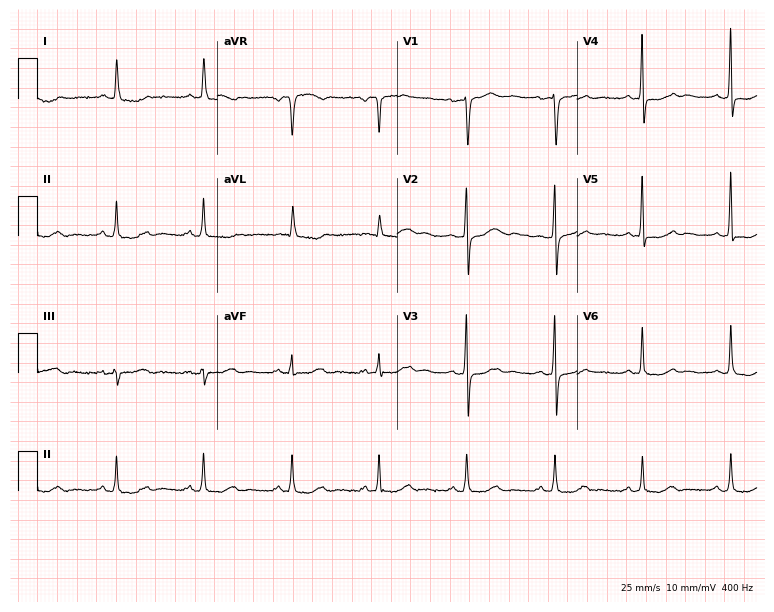
ECG (7.3-second recording at 400 Hz) — a female patient, 79 years old. Labelled as a normal ECG.